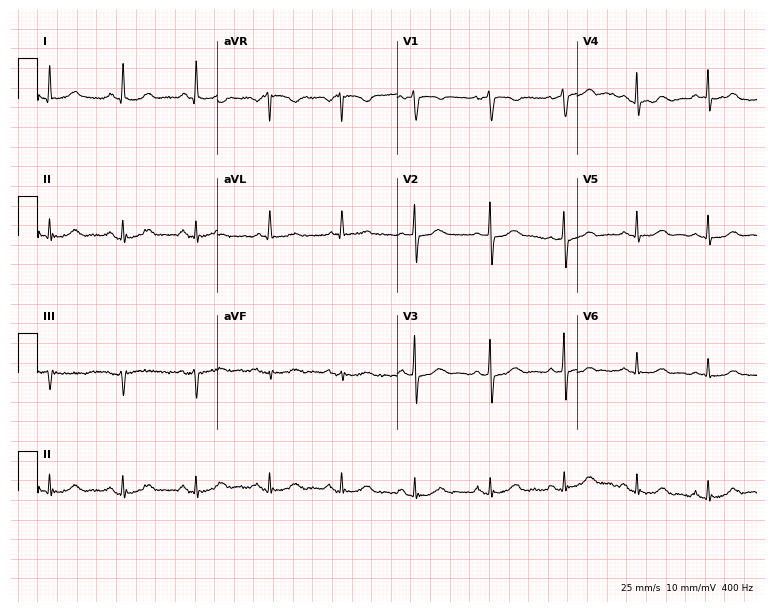
Resting 12-lead electrocardiogram (7.3-second recording at 400 Hz). Patient: a female, 67 years old. None of these six findings is recorded: first-degree AV block, right bundle branch block, left bundle branch block, sinus bradycardia, atrial fibrillation, sinus tachycardia.